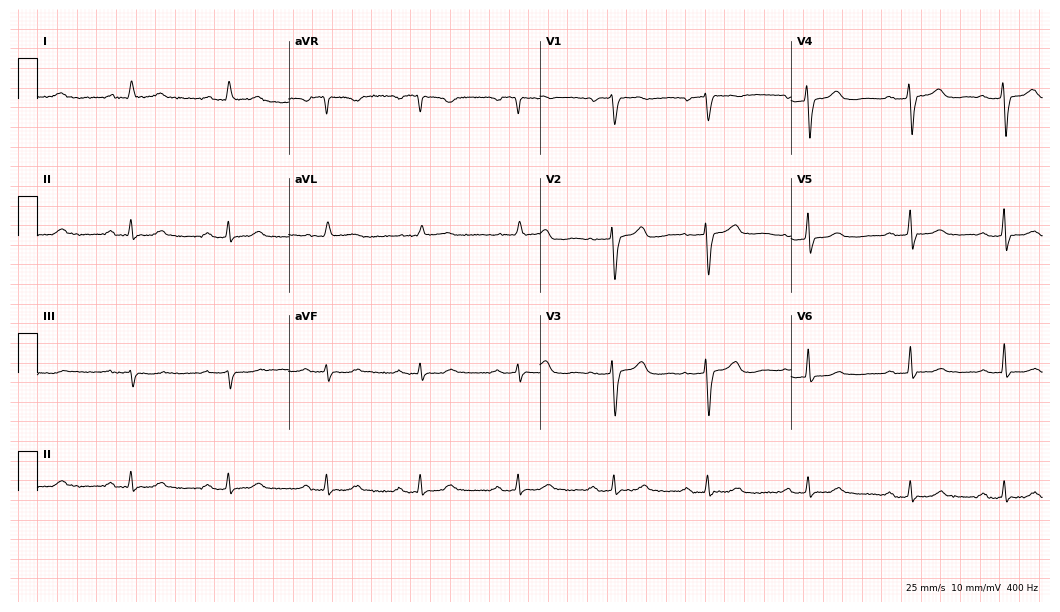
12-lead ECG from a female, 69 years old. Shows first-degree AV block.